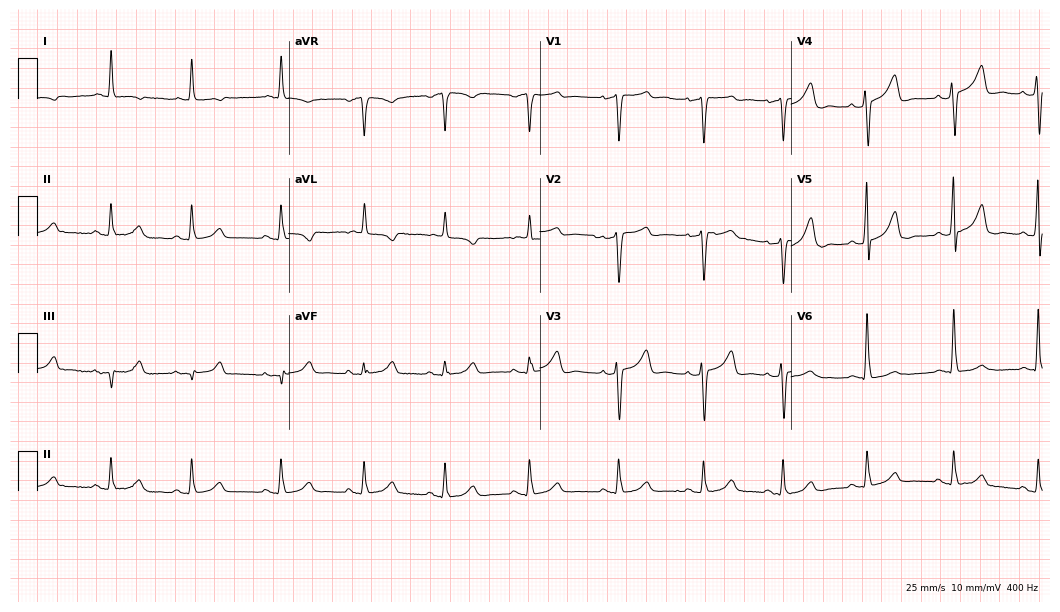
ECG (10.2-second recording at 400 Hz) — a female, 58 years old. Screened for six findings — first-degree AV block, right bundle branch block (RBBB), left bundle branch block (LBBB), sinus bradycardia, atrial fibrillation (AF), sinus tachycardia — none is recorded.